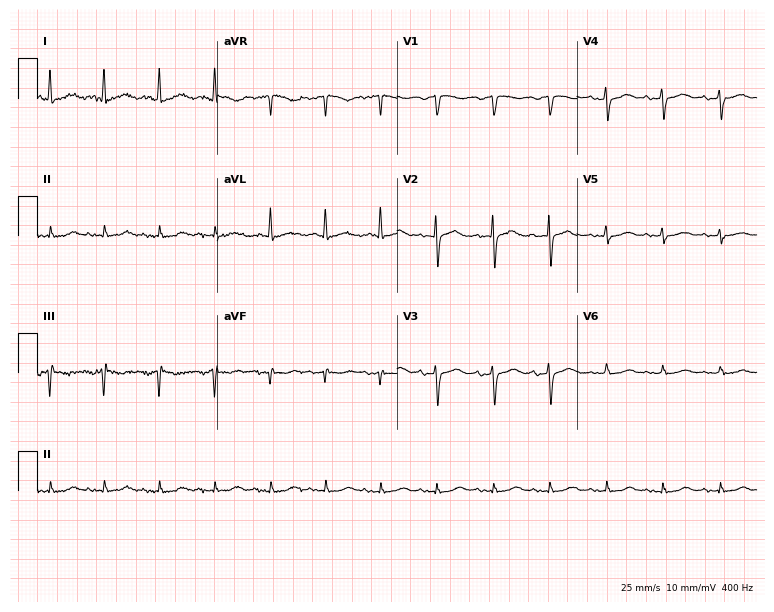
12-lead ECG (7.3-second recording at 400 Hz) from a 77-year-old female. Findings include sinus tachycardia (a sinus rate of 100 beats per minute or more).